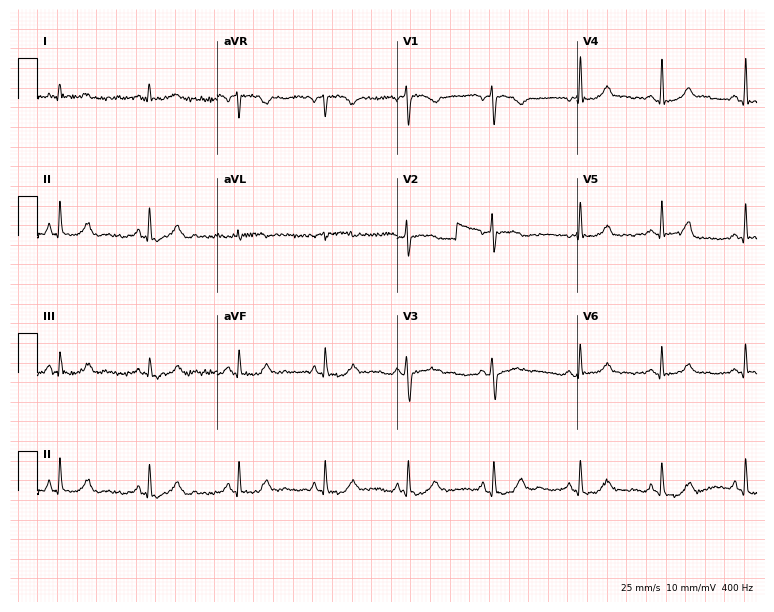
ECG — a female patient, 33 years old. Labelled as a normal ECG.